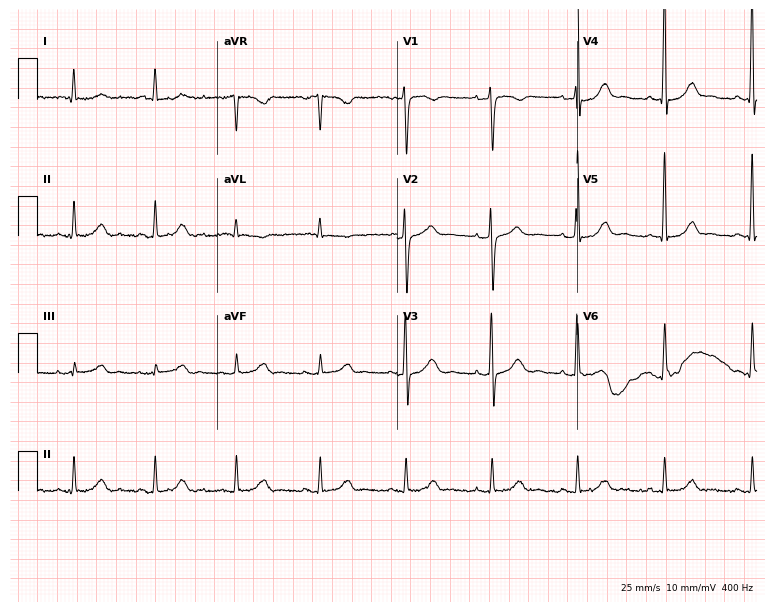
Standard 12-lead ECG recorded from a 44-year-old man (7.3-second recording at 400 Hz). None of these six findings is recorded: first-degree AV block, right bundle branch block, left bundle branch block, sinus bradycardia, atrial fibrillation, sinus tachycardia.